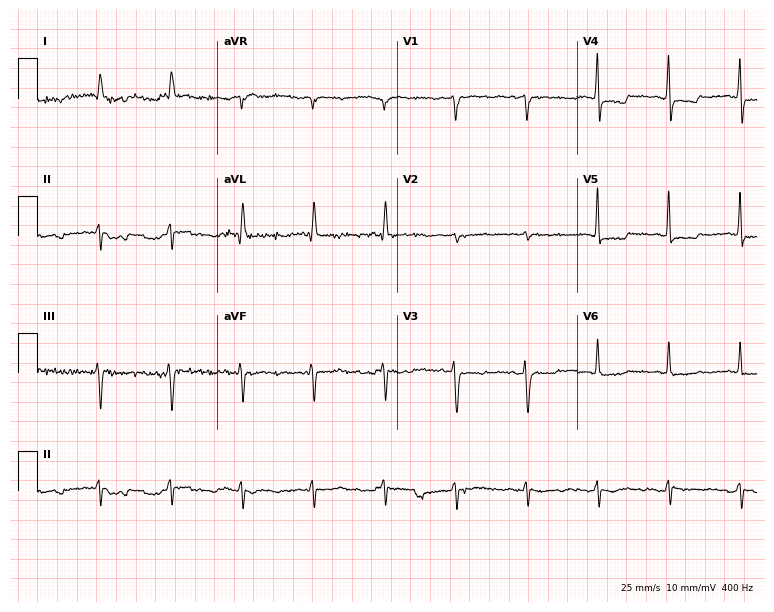
Electrocardiogram (7.3-second recording at 400 Hz), a female, 66 years old. Of the six screened findings (first-degree AV block, right bundle branch block (RBBB), left bundle branch block (LBBB), sinus bradycardia, atrial fibrillation (AF), sinus tachycardia), none is recorded.